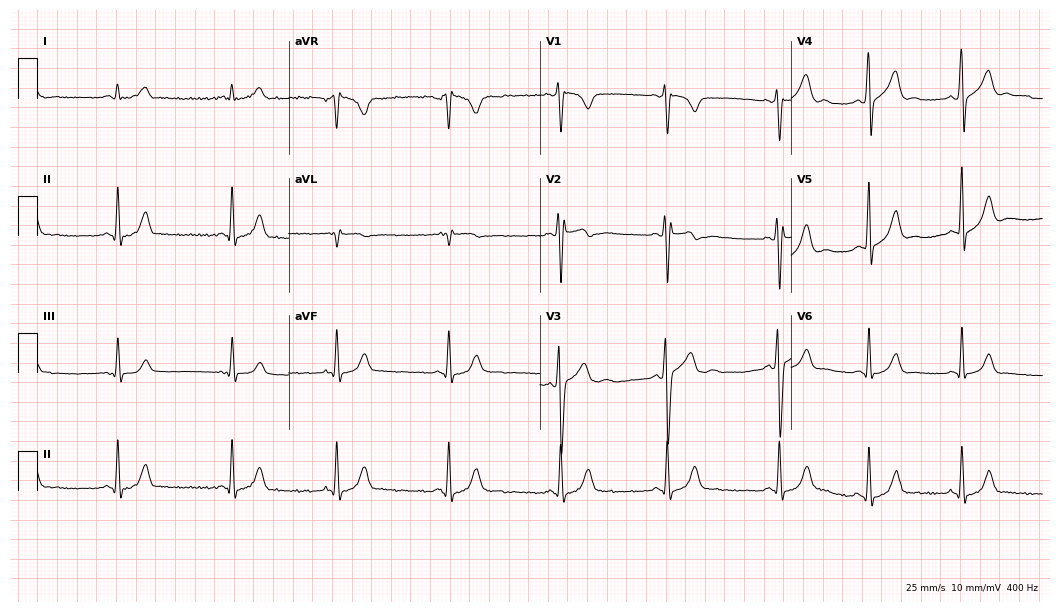
Standard 12-lead ECG recorded from a 19-year-old man (10.2-second recording at 400 Hz). None of these six findings is recorded: first-degree AV block, right bundle branch block, left bundle branch block, sinus bradycardia, atrial fibrillation, sinus tachycardia. Other findings, if any, are not listed.